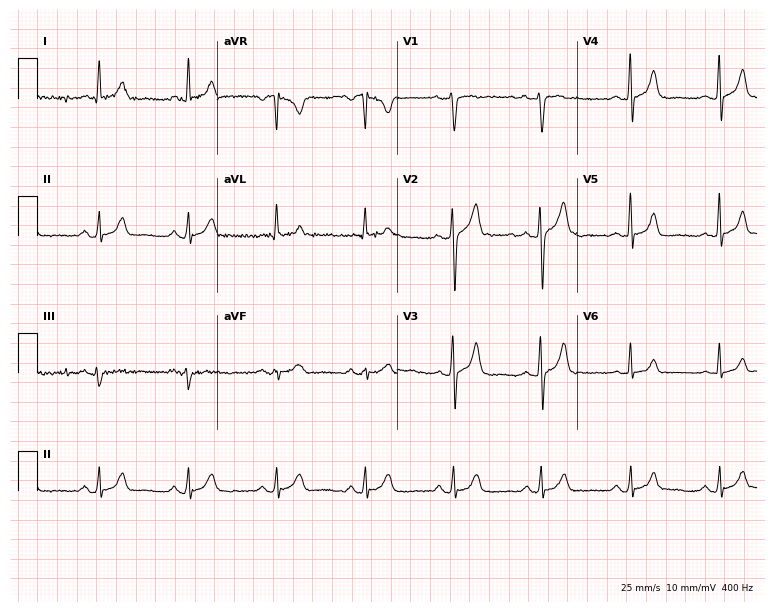
Resting 12-lead electrocardiogram. Patient: a female, 67 years old. Read as a normal ECG.